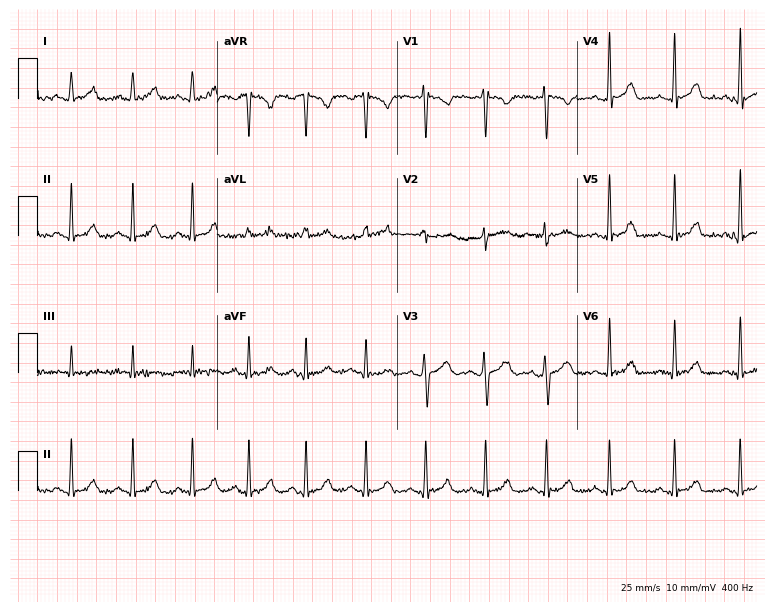
12-lead ECG from a 23-year-old female. Recorded interpretation: within normal limits.